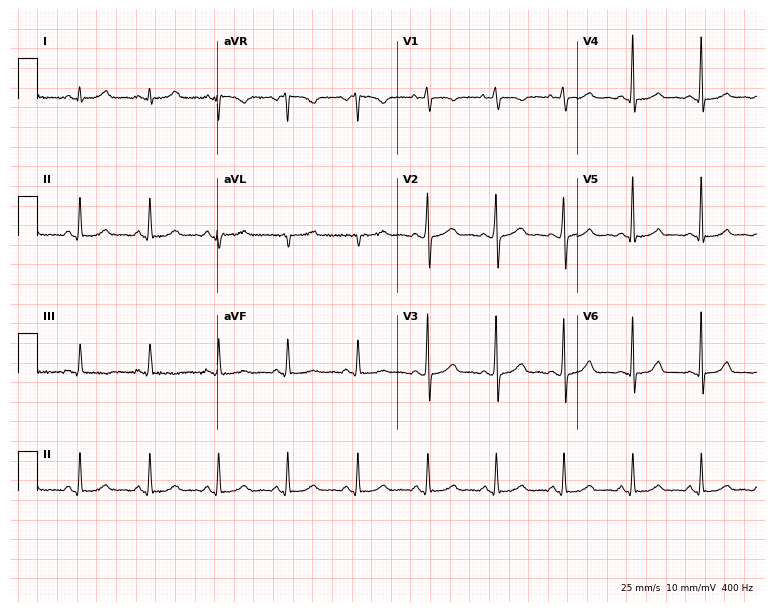
Standard 12-lead ECG recorded from a 45-year-old female (7.3-second recording at 400 Hz). Read as a normal ECG.